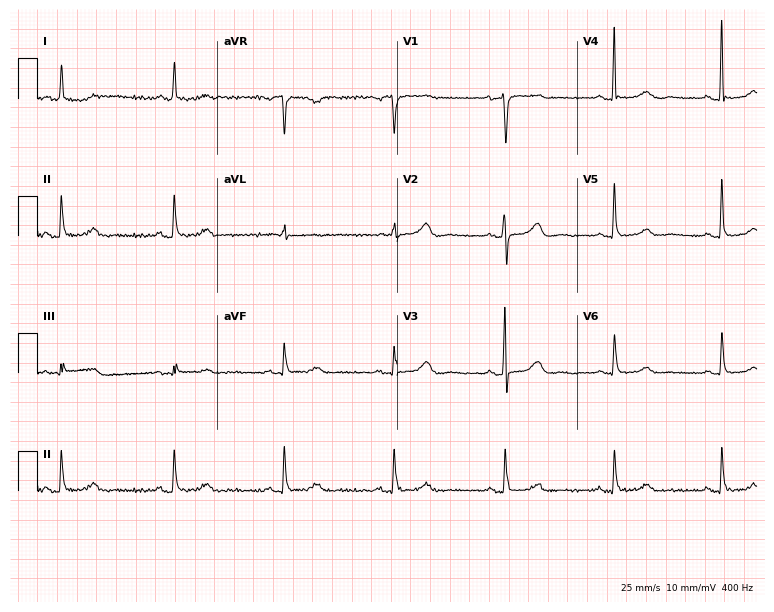
ECG (7.3-second recording at 400 Hz) — a 62-year-old female patient. Labelled as a normal ECG.